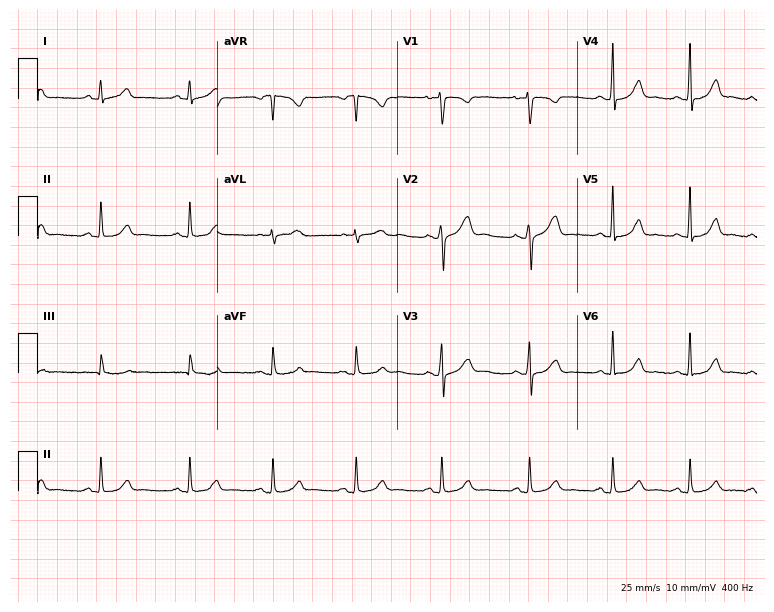
Resting 12-lead electrocardiogram. Patient: a 35-year-old female. Read as a normal ECG.